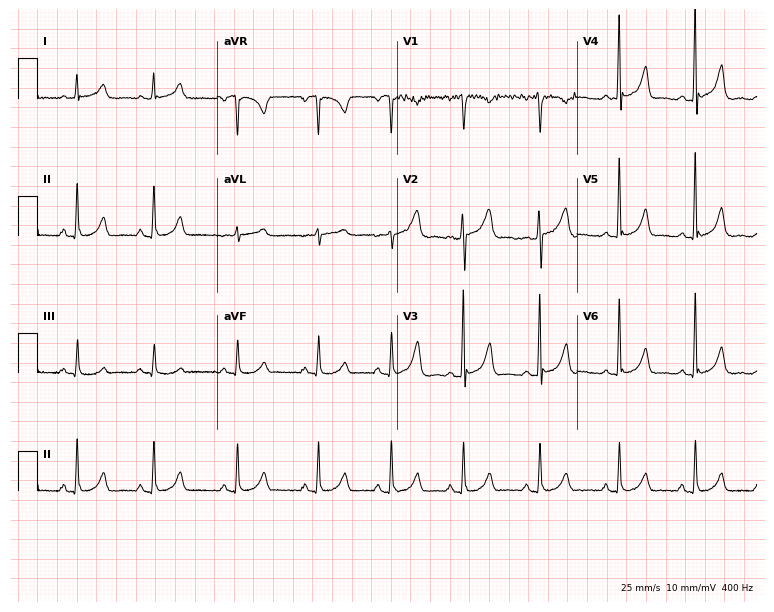
ECG — a female patient, 37 years old. Labelled as a normal ECG.